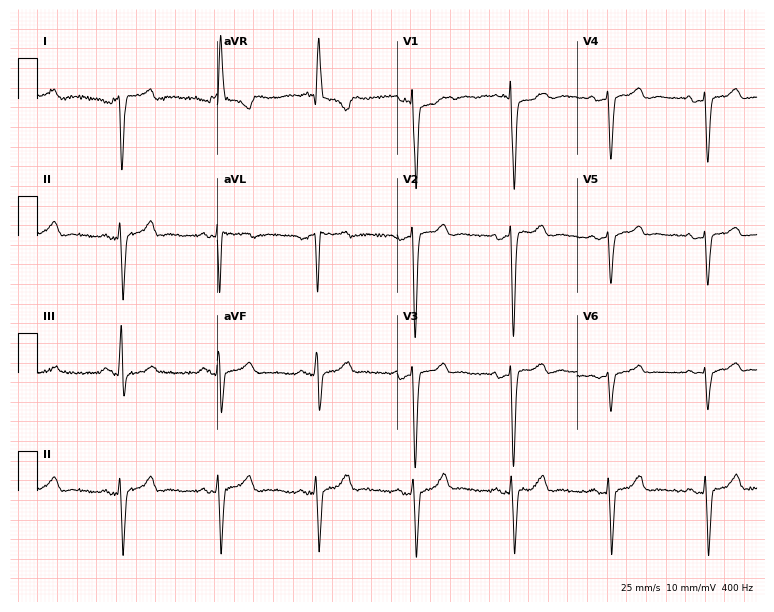
Resting 12-lead electrocardiogram (7.3-second recording at 400 Hz). Patient: a male, 69 years old. None of these six findings is recorded: first-degree AV block, right bundle branch block, left bundle branch block, sinus bradycardia, atrial fibrillation, sinus tachycardia. Findings outside these six are not listed.